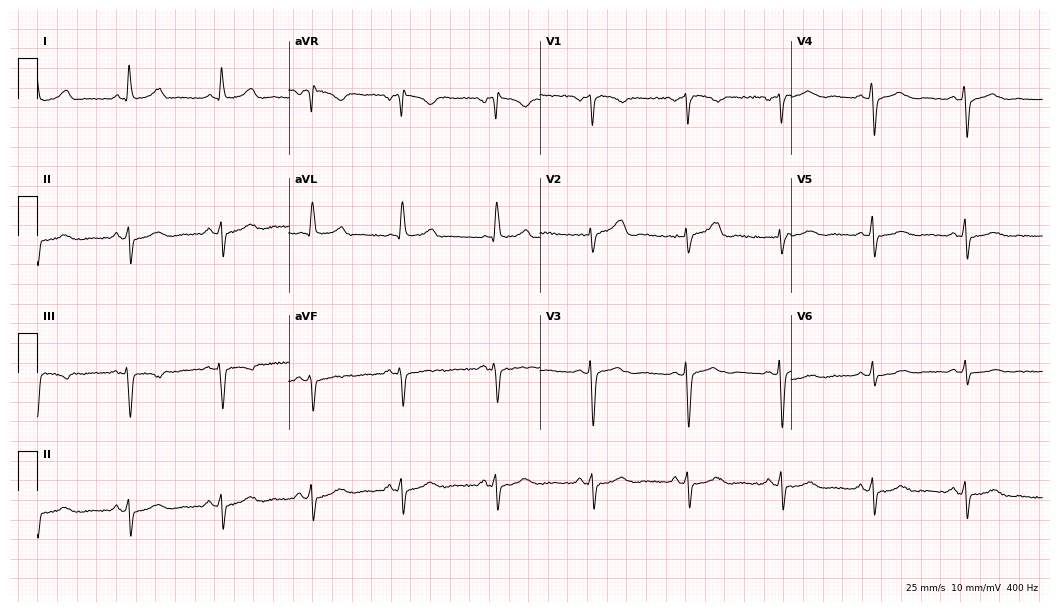
Electrocardiogram (10.2-second recording at 400 Hz), a female, 62 years old. Of the six screened findings (first-degree AV block, right bundle branch block, left bundle branch block, sinus bradycardia, atrial fibrillation, sinus tachycardia), none is recorded.